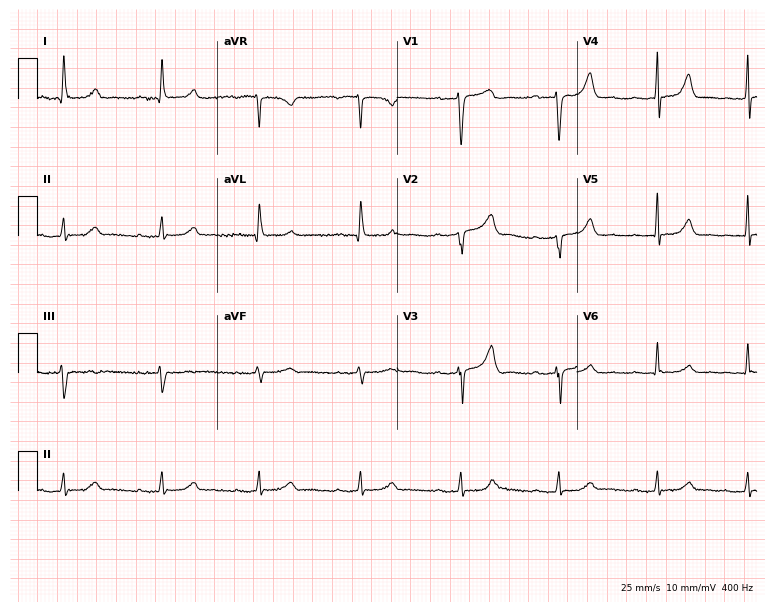
12-lead ECG from a female patient, 51 years old (7.3-second recording at 400 Hz). Shows first-degree AV block.